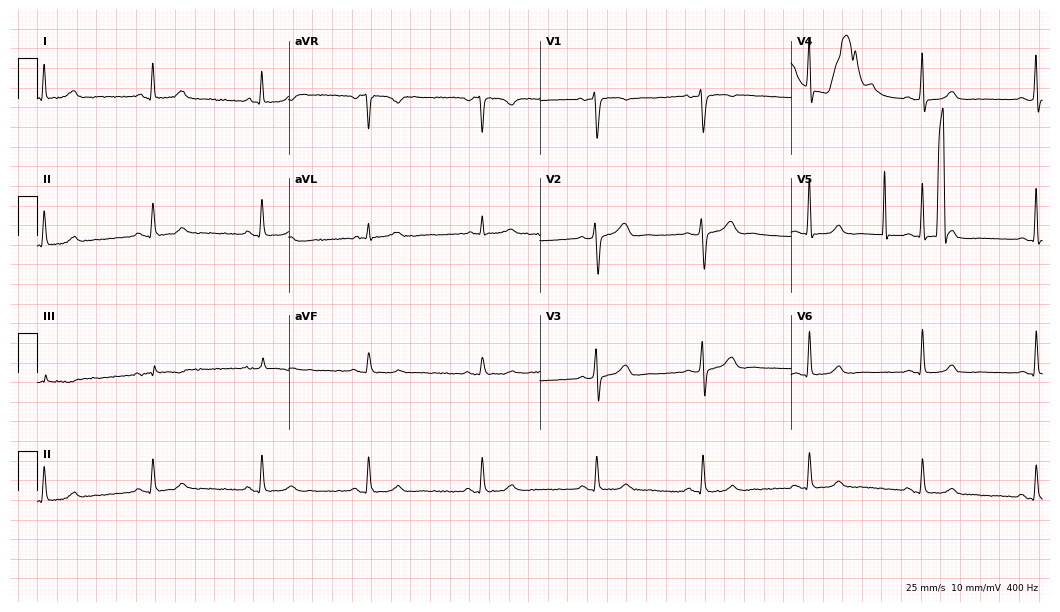
Standard 12-lead ECG recorded from a female, 41 years old. None of these six findings is recorded: first-degree AV block, right bundle branch block, left bundle branch block, sinus bradycardia, atrial fibrillation, sinus tachycardia.